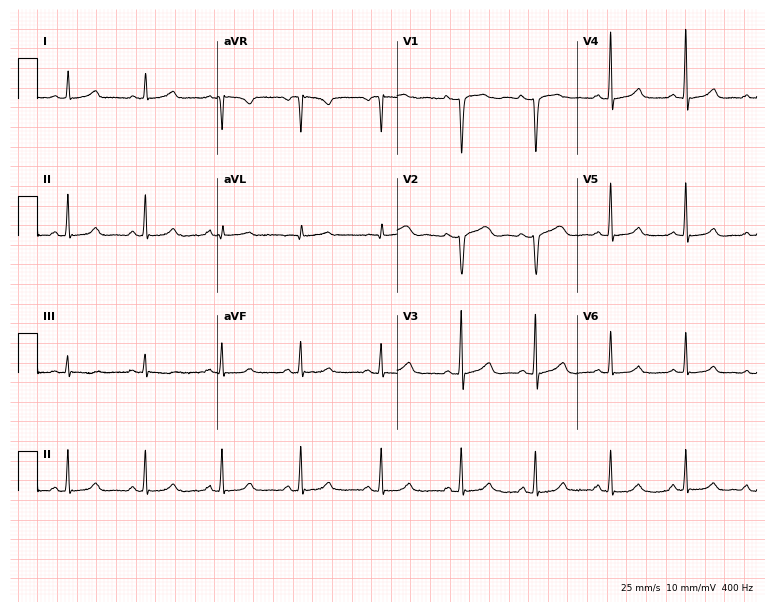
Resting 12-lead electrocardiogram (7.3-second recording at 400 Hz). Patient: a 39-year-old female. None of these six findings is recorded: first-degree AV block, right bundle branch block, left bundle branch block, sinus bradycardia, atrial fibrillation, sinus tachycardia.